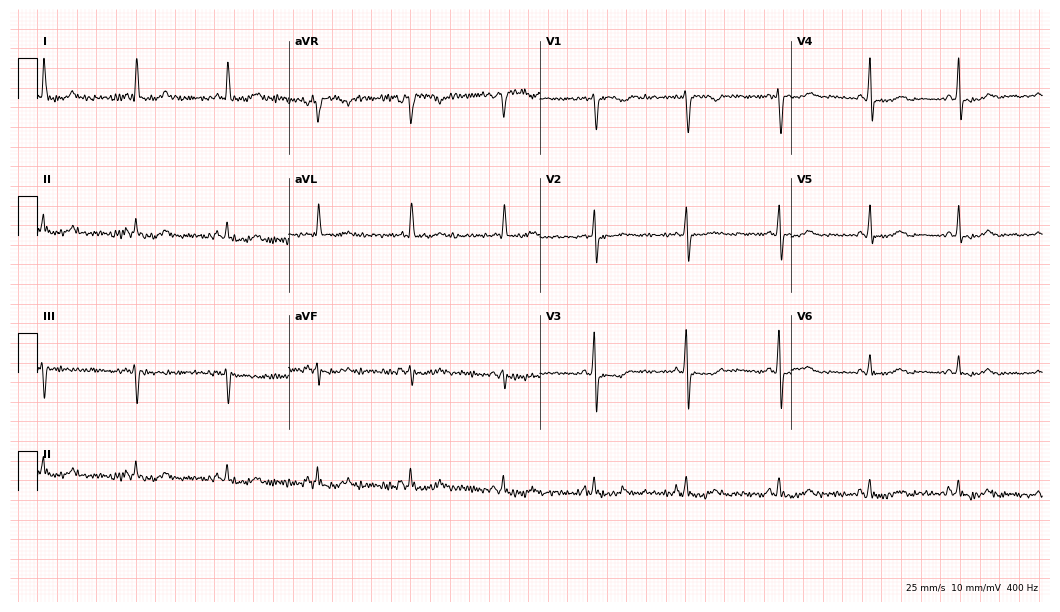
Electrocardiogram (10.2-second recording at 400 Hz), a 51-year-old woman. Of the six screened findings (first-degree AV block, right bundle branch block (RBBB), left bundle branch block (LBBB), sinus bradycardia, atrial fibrillation (AF), sinus tachycardia), none is recorded.